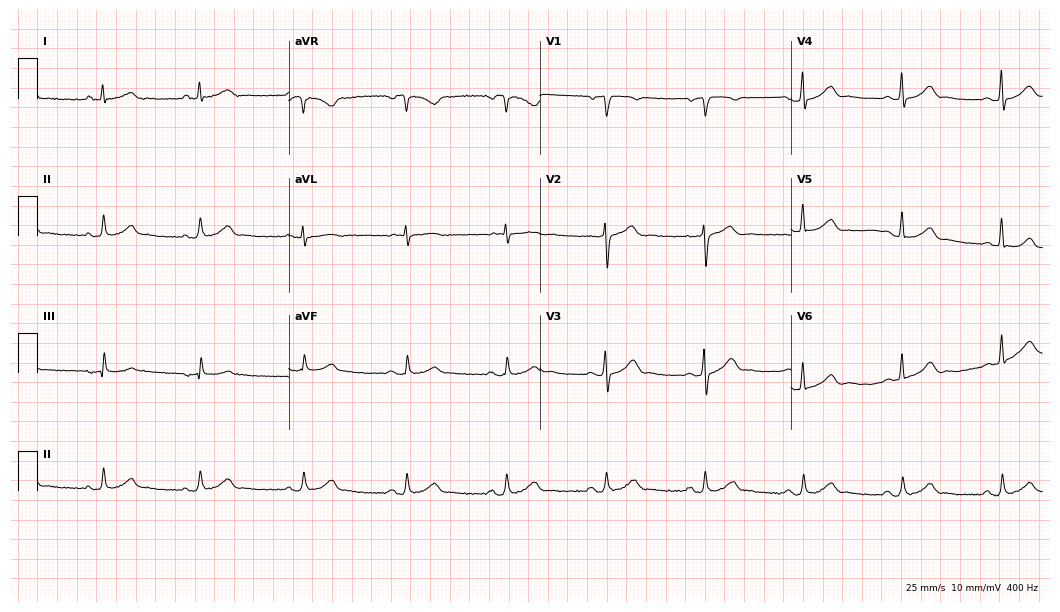
ECG — a male patient, 71 years old. Labelled as a normal ECG.